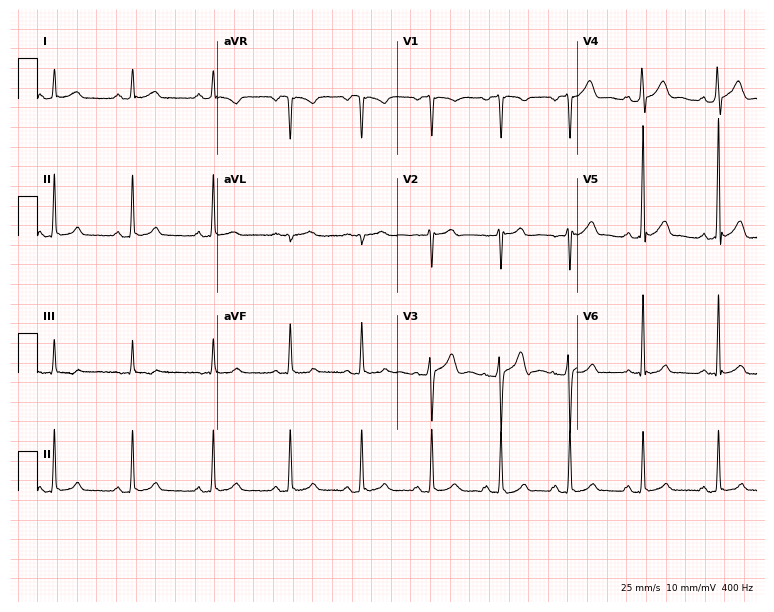
ECG (7.3-second recording at 400 Hz) — a 21-year-old man. Labelled as a normal ECG.